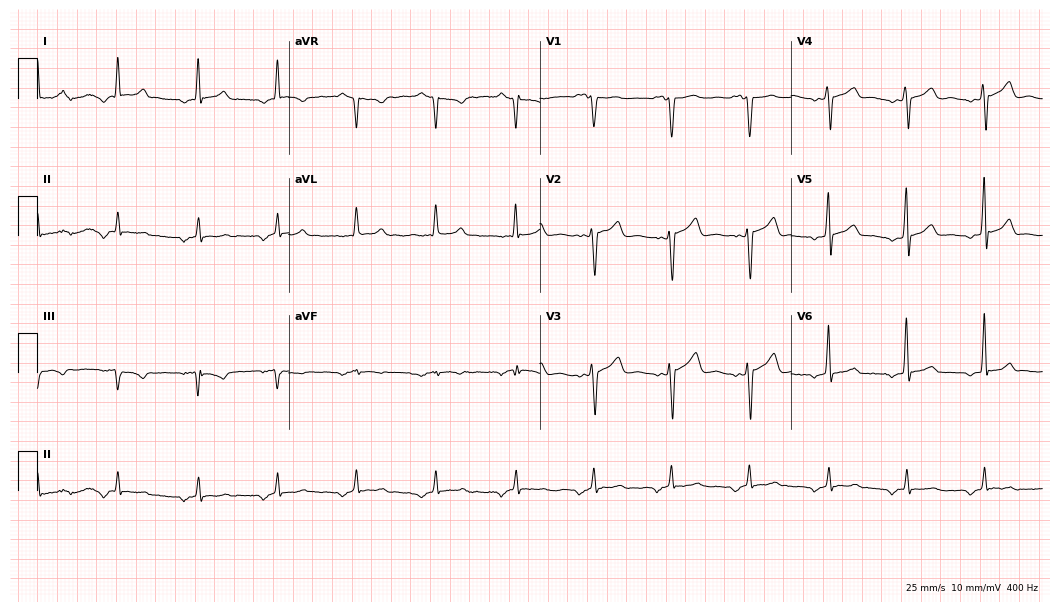
ECG — a 59-year-old man. Screened for six findings — first-degree AV block, right bundle branch block (RBBB), left bundle branch block (LBBB), sinus bradycardia, atrial fibrillation (AF), sinus tachycardia — none is recorded. Findings outside these six are not listed.